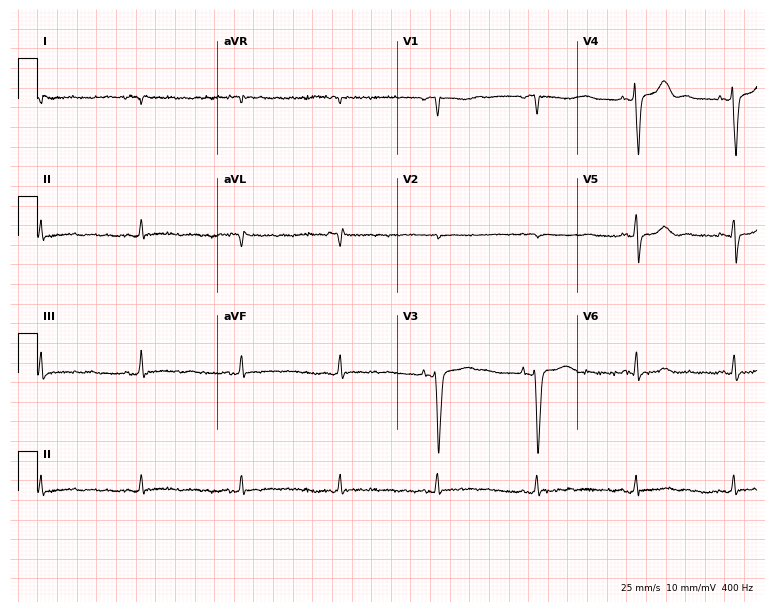
Electrocardiogram, a 75-year-old man. Of the six screened findings (first-degree AV block, right bundle branch block, left bundle branch block, sinus bradycardia, atrial fibrillation, sinus tachycardia), none is recorded.